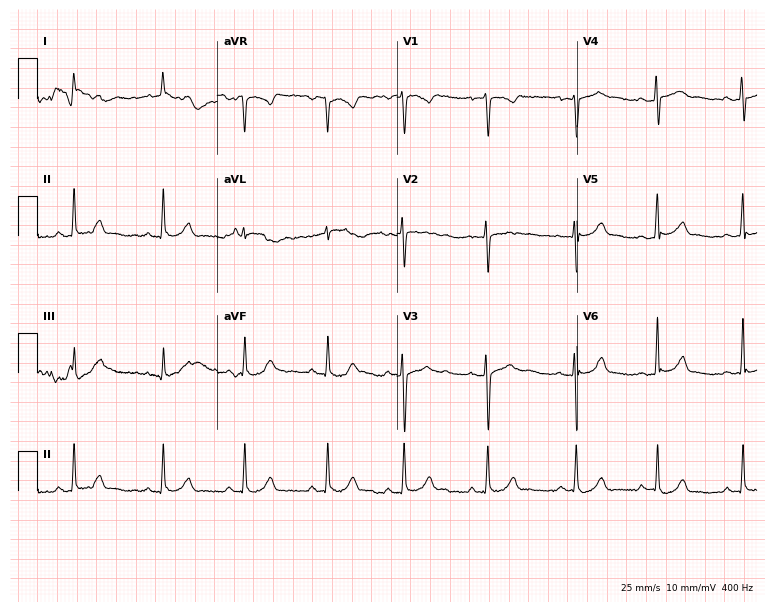
12-lead ECG from a 22-year-old woman (7.3-second recording at 400 Hz). Recorded interpretation: within normal limits.